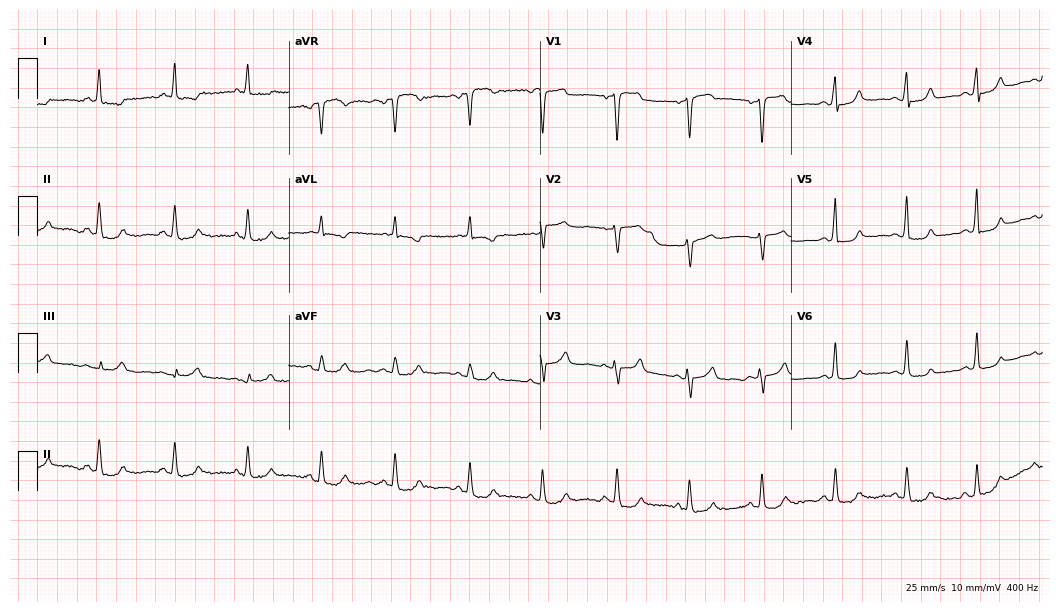
Resting 12-lead electrocardiogram (10.2-second recording at 400 Hz). Patient: a woman, 69 years old. None of these six findings is recorded: first-degree AV block, right bundle branch block, left bundle branch block, sinus bradycardia, atrial fibrillation, sinus tachycardia. Findings outside these six are not listed.